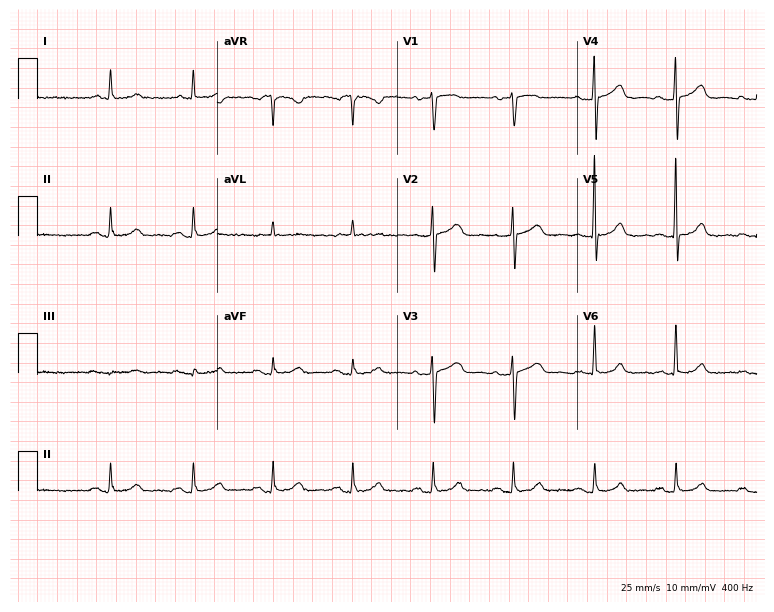
Resting 12-lead electrocardiogram (7.3-second recording at 400 Hz). Patient: a 77-year-old female. None of these six findings is recorded: first-degree AV block, right bundle branch block (RBBB), left bundle branch block (LBBB), sinus bradycardia, atrial fibrillation (AF), sinus tachycardia.